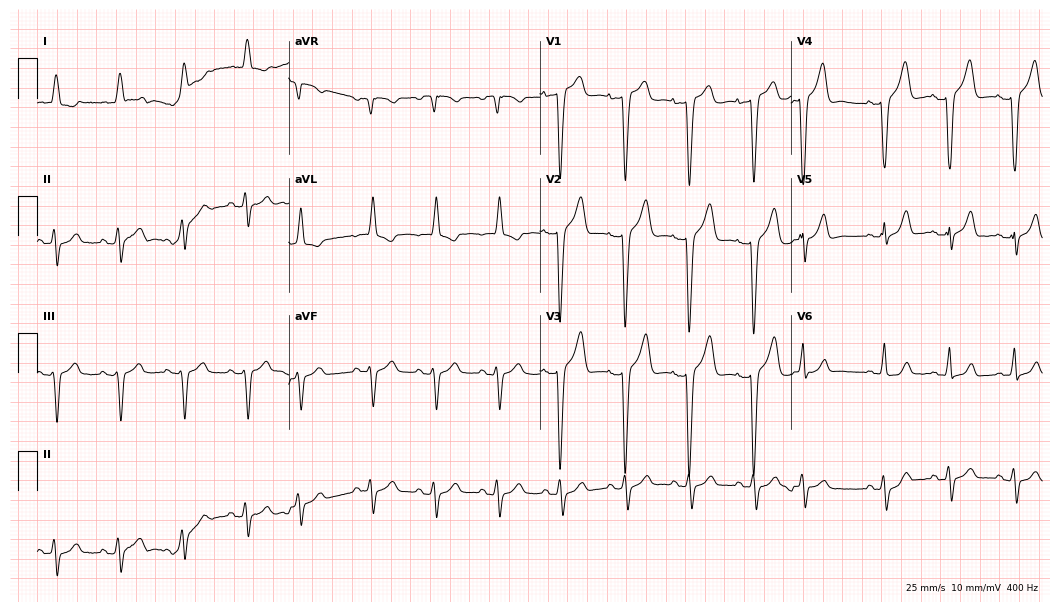
12-lead ECG from an 83-year-old woman (10.2-second recording at 400 Hz). No first-degree AV block, right bundle branch block, left bundle branch block, sinus bradycardia, atrial fibrillation or sinus tachycardia recorded for this tracing. Other findings, if any, are not listed.